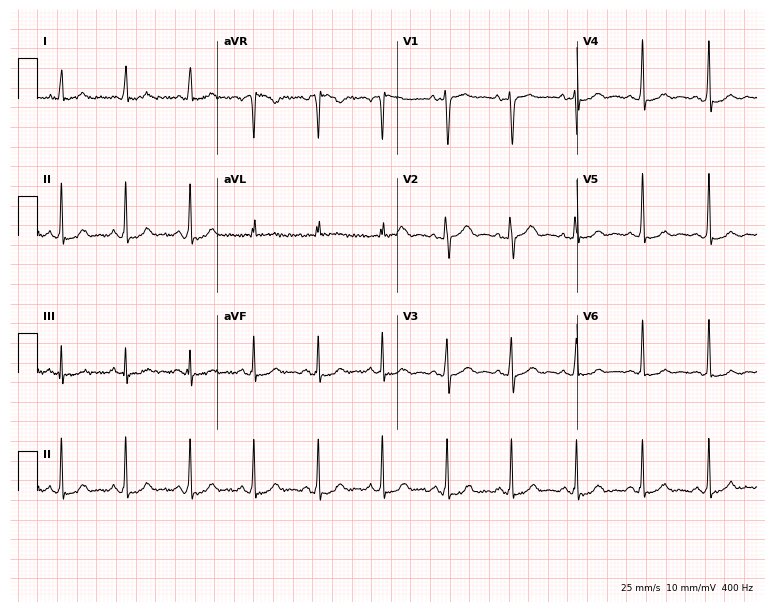
Standard 12-lead ECG recorded from a female, 53 years old (7.3-second recording at 400 Hz). None of these six findings is recorded: first-degree AV block, right bundle branch block (RBBB), left bundle branch block (LBBB), sinus bradycardia, atrial fibrillation (AF), sinus tachycardia.